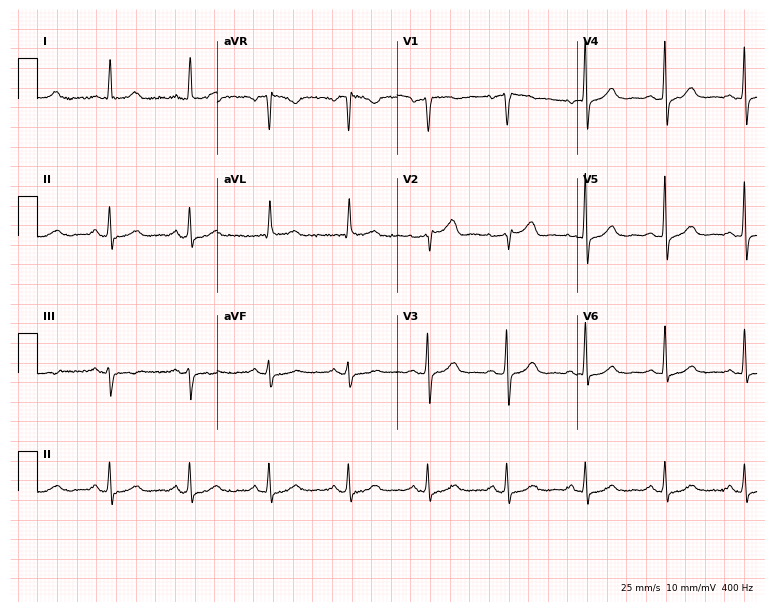
Standard 12-lead ECG recorded from a 65-year-old woman. Read as a normal ECG.